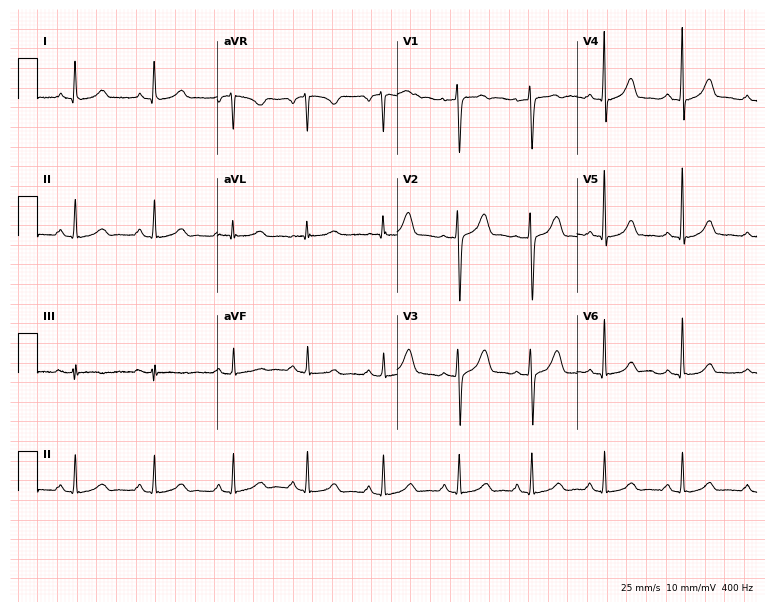
12-lead ECG from a 47-year-old woman. Recorded interpretation: within normal limits.